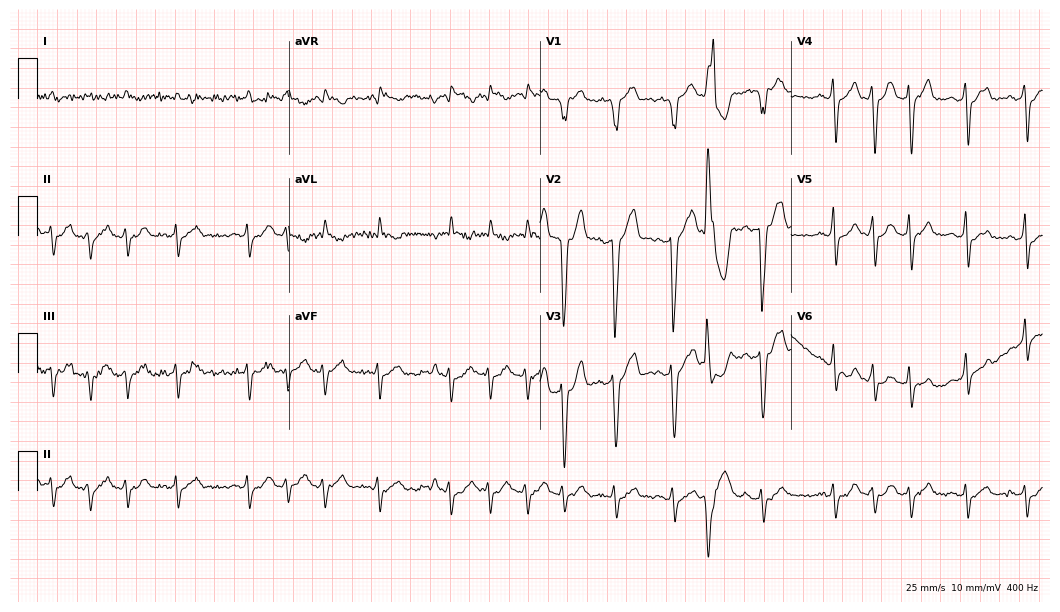
ECG — a male patient, 83 years old. Screened for six findings — first-degree AV block, right bundle branch block, left bundle branch block, sinus bradycardia, atrial fibrillation, sinus tachycardia — none is recorded. Other findings, if any, are not listed.